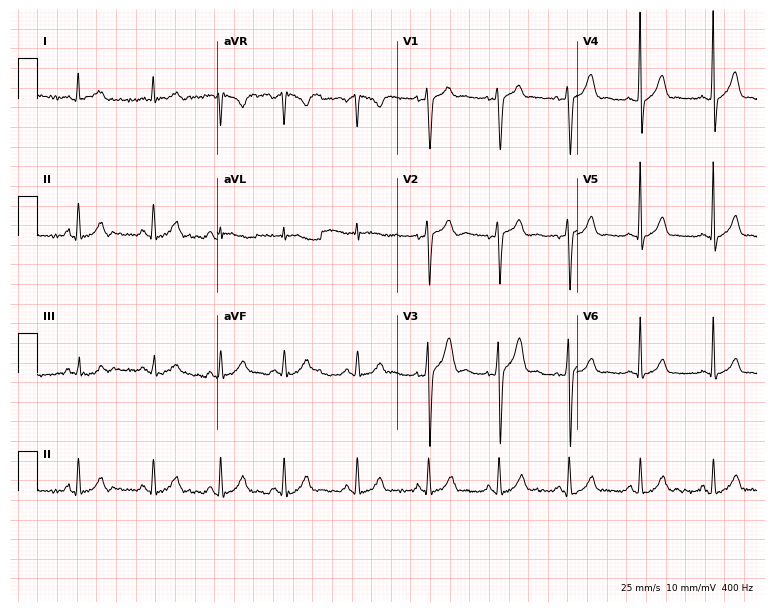
12-lead ECG from a 20-year-old man. Labelled as a normal ECG.